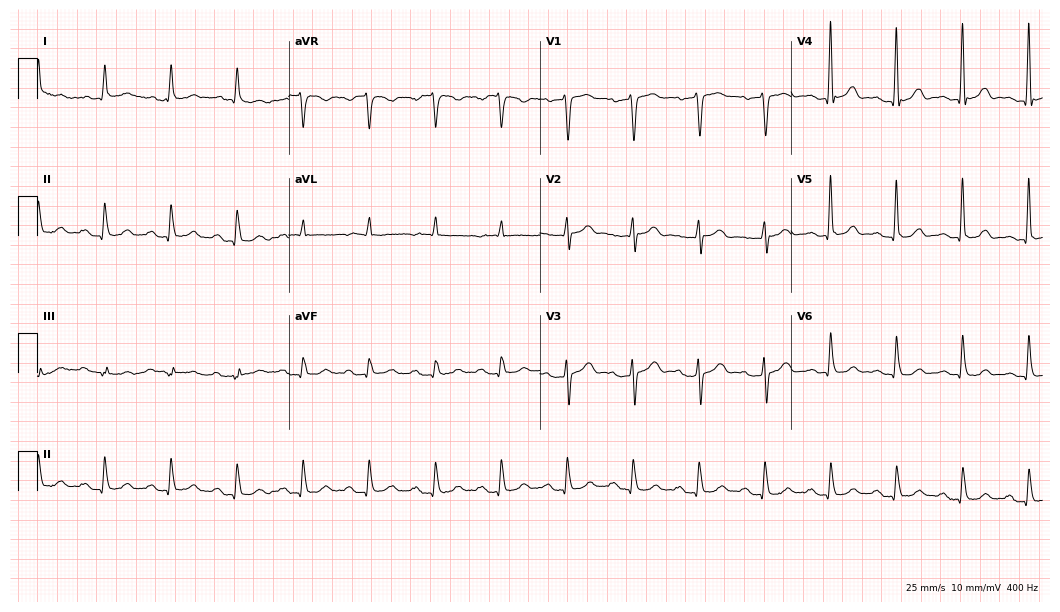
Standard 12-lead ECG recorded from a male patient, 82 years old. Read as a normal ECG.